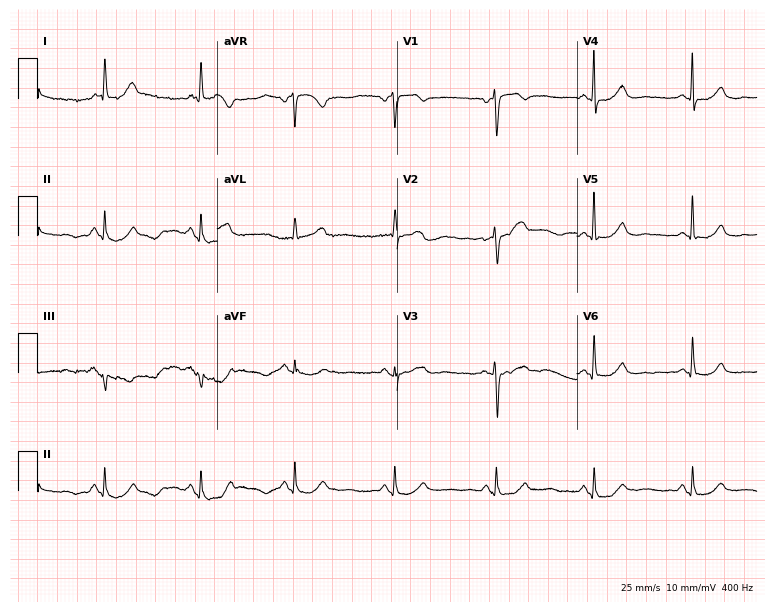
Standard 12-lead ECG recorded from a woman, 66 years old (7.3-second recording at 400 Hz). Read as a normal ECG.